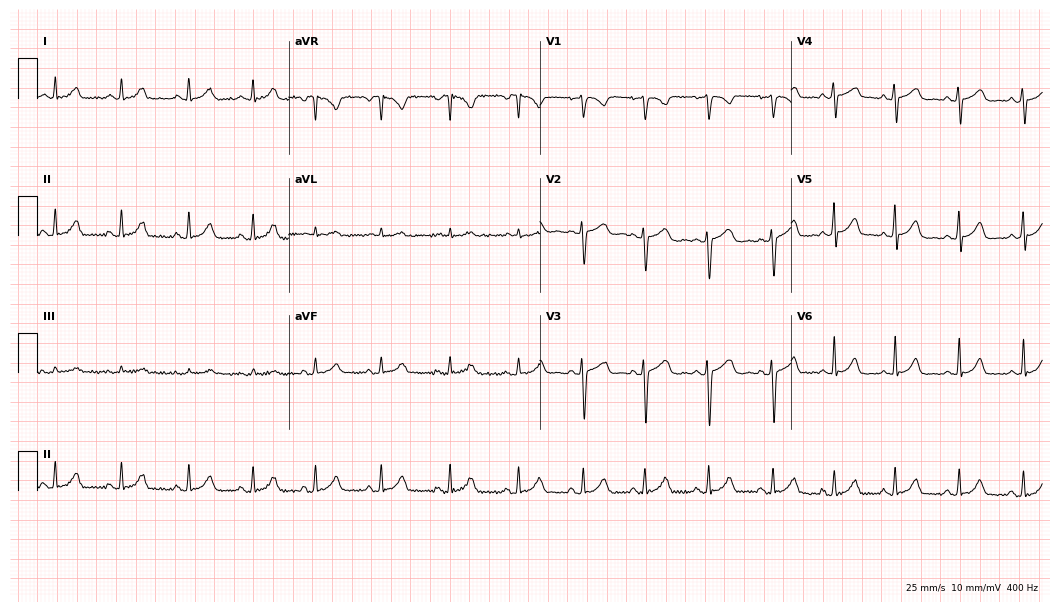
12-lead ECG (10.2-second recording at 400 Hz) from a female patient, 17 years old. Labelled as a normal ECG.